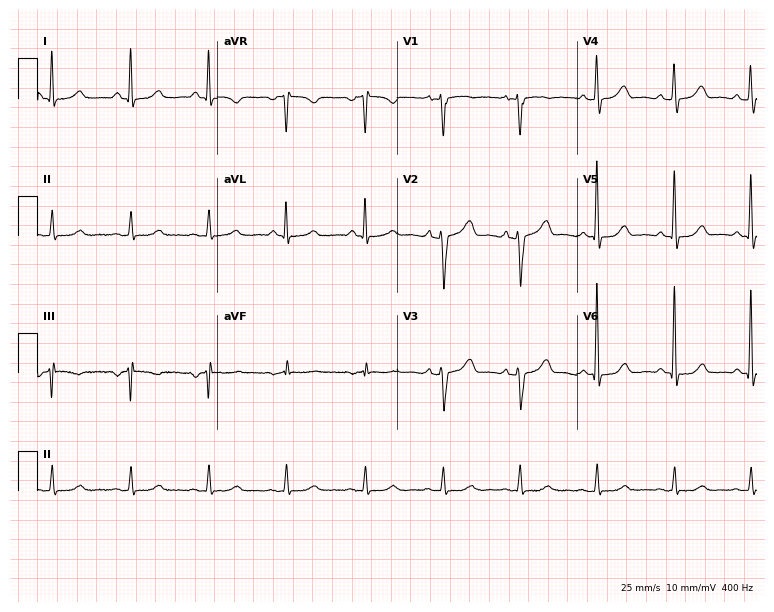
12-lead ECG (7.3-second recording at 400 Hz) from a 44-year-old female. Screened for six findings — first-degree AV block, right bundle branch block, left bundle branch block, sinus bradycardia, atrial fibrillation, sinus tachycardia — none is recorded.